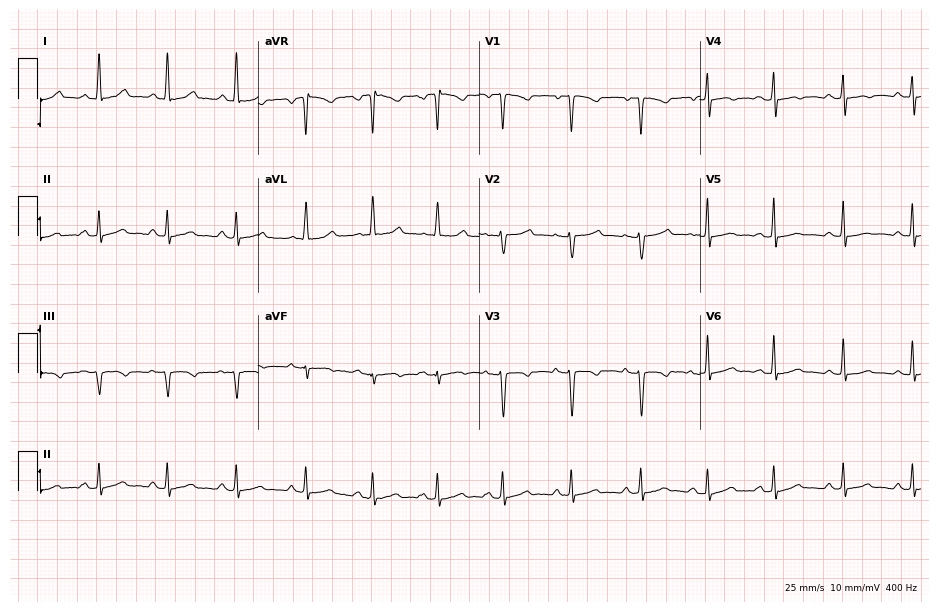
12-lead ECG from a woman, 41 years old. No first-degree AV block, right bundle branch block, left bundle branch block, sinus bradycardia, atrial fibrillation or sinus tachycardia recorded for this tracing. Only these six findings were labelled.